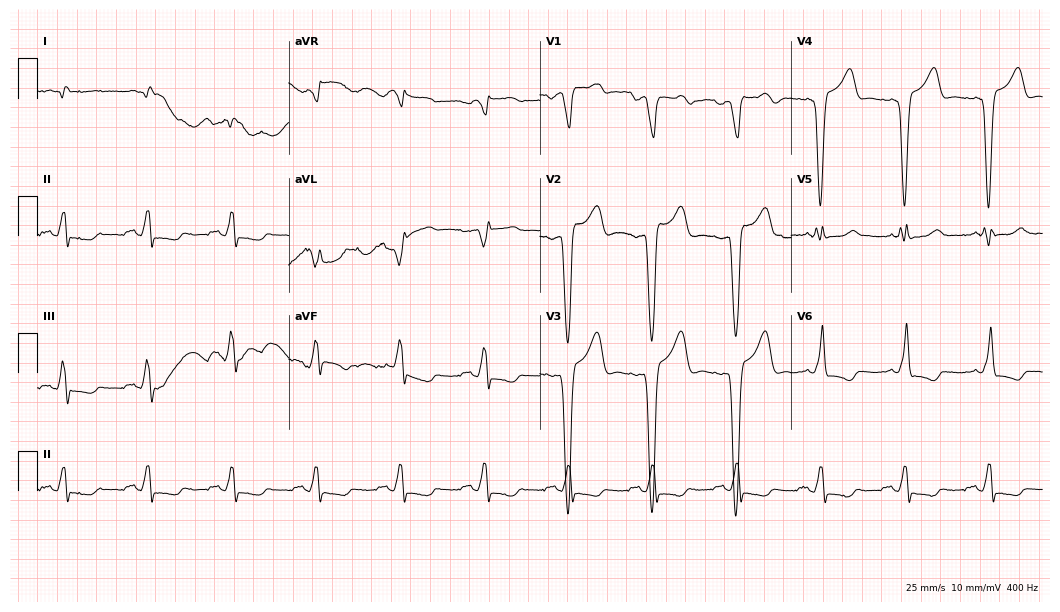
Electrocardiogram, a man, 73 years old. Interpretation includes left bundle branch block (LBBB).